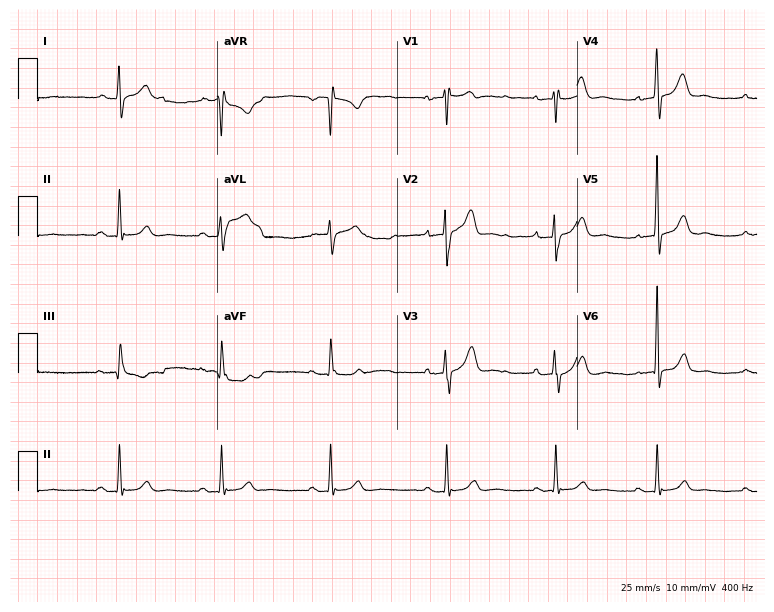
Standard 12-lead ECG recorded from a 39-year-old male patient. Read as a normal ECG.